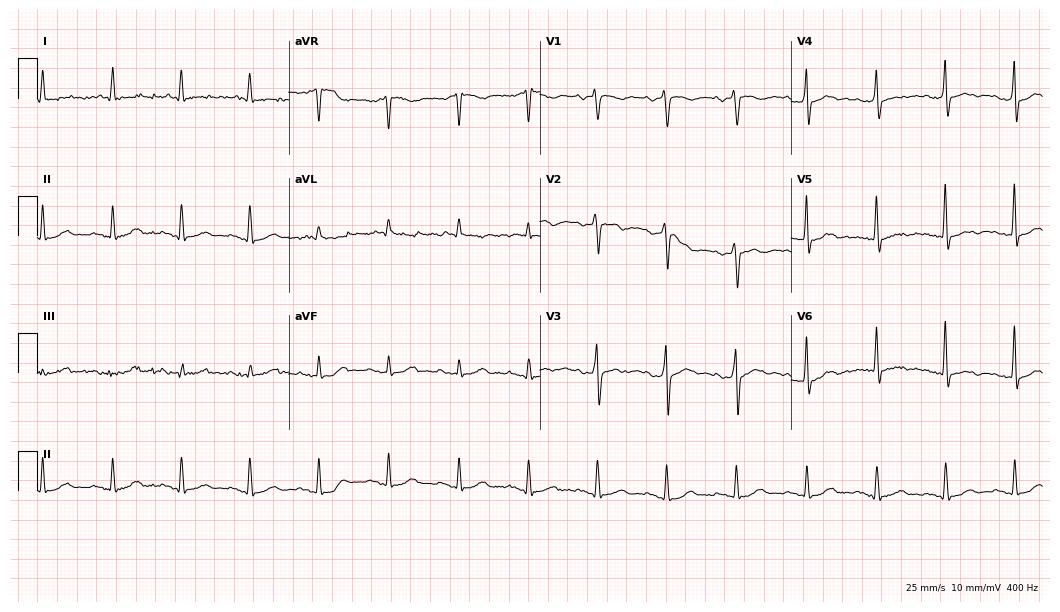
ECG — a 65-year-old male patient. Labelled as a normal ECG.